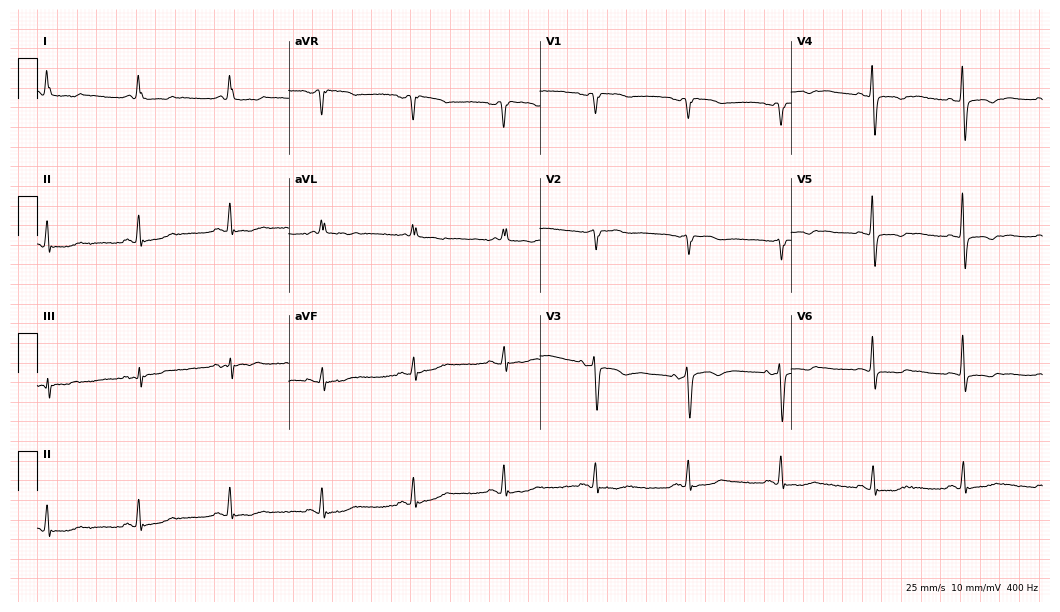
12-lead ECG from a female patient, 73 years old. Screened for six findings — first-degree AV block, right bundle branch block, left bundle branch block, sinus bradycardia, atrial fibrillation, sinus tachycardia — none is recorded.